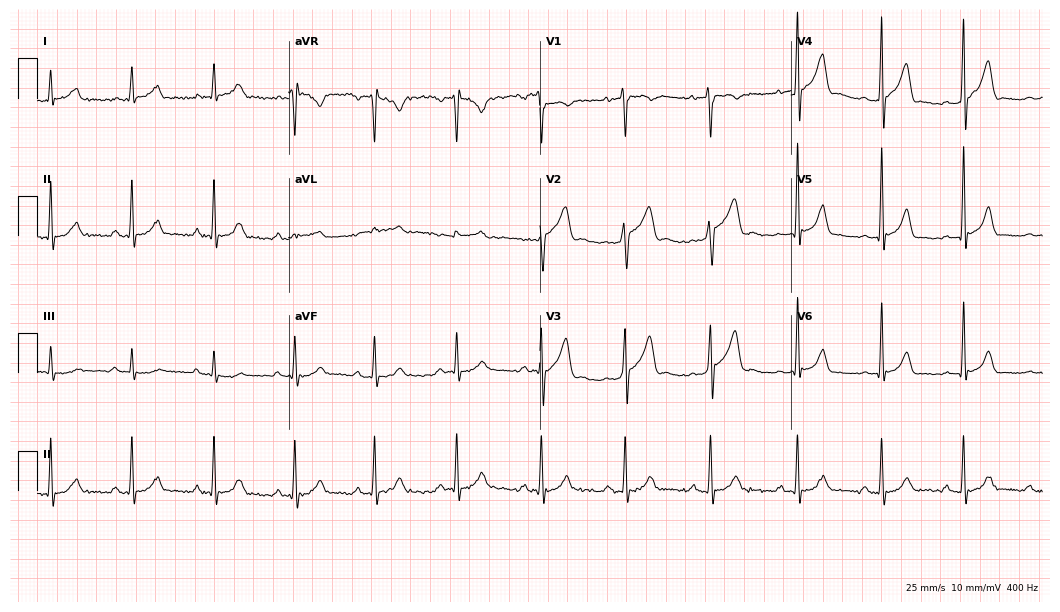
Electrocardiogram (10.2-second recording at 400 Hz), a 23-year-old male patient. Overall reading on record: normal ECG.